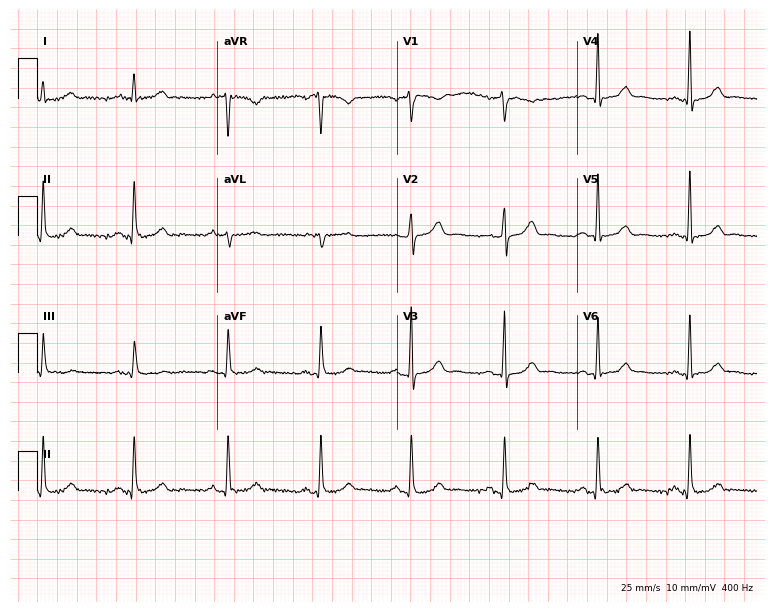
Standard 12-lead ECG recorded from a 45-year-old female patient (7.3-second recording at 400 Hz). Read as a normal ECG.